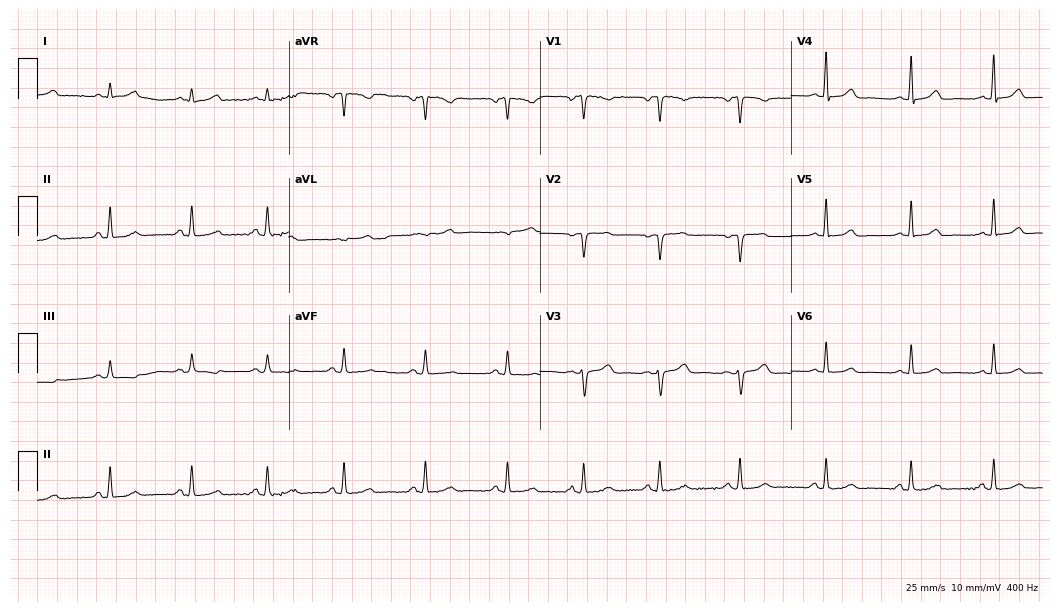
Resting 12-lead electrocardiogram. Patient: a woman, 39 years old. Read as a normal ECG.